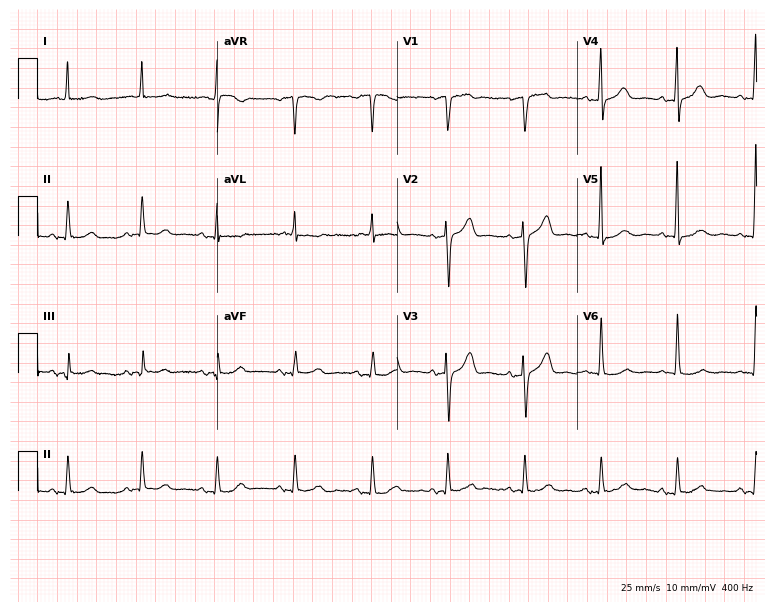
ECG — an 84-year-old male. Screened for six findings — first-degree AV block, right bundle branch block, left bundle branch block, sinus bradycardia, atrial fibrillation, sinus tachycardia — none is recorded. Other findings, if any, are not listed.